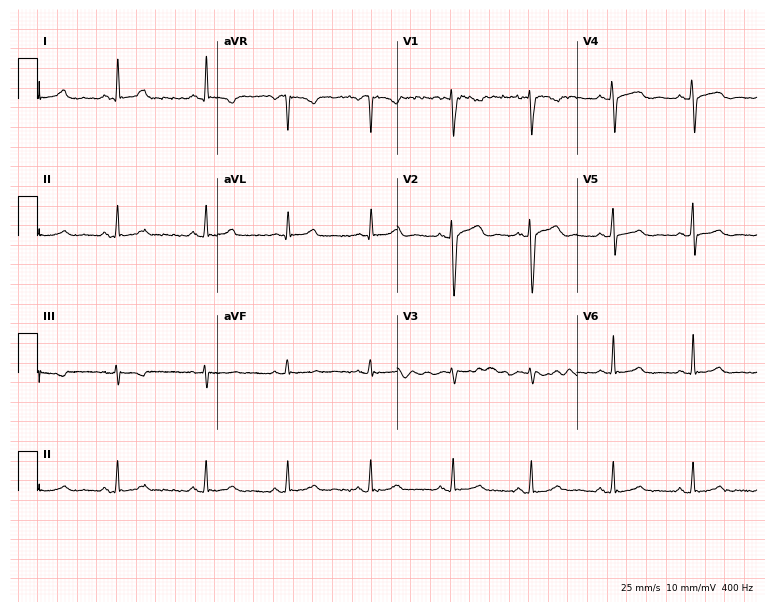
Electrocardiogram (7.3-second recording at 400 Hz), a female, 30 years old. Overall reading on record: normal ECG.